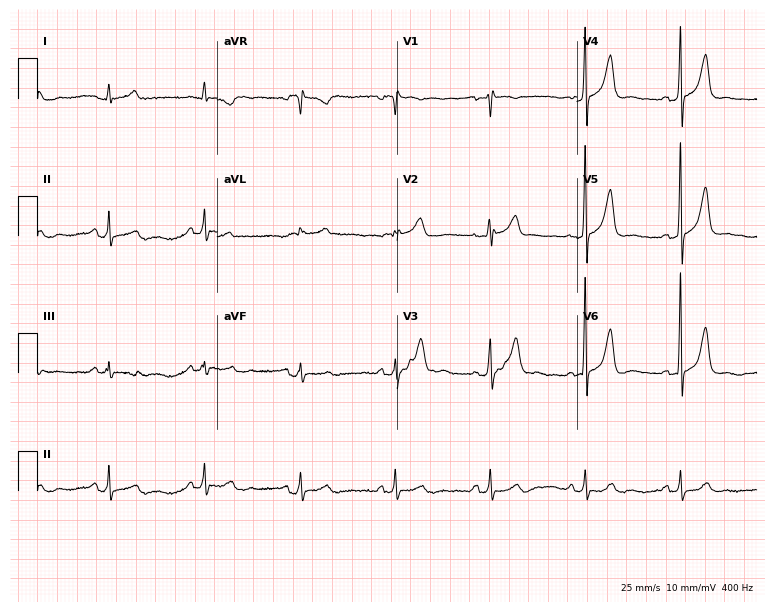
Resting 12-lead electrocardiogram. Patient: a man, 69 years old. None of these six findings is recorded: first-degree AV block, right bundle branch block (RBBB), left bundle branch block (LBBB), sinus bradycardia, atrial fibrillation (AF), sinus tachycardia.